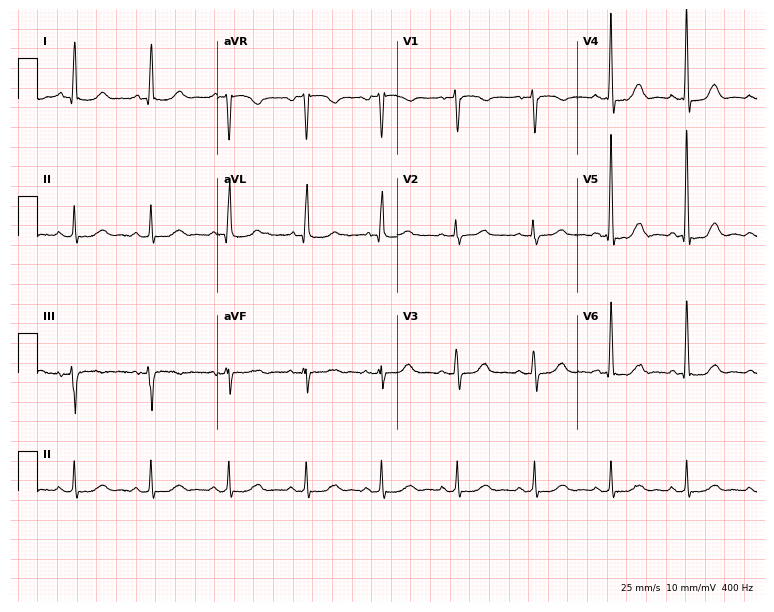
Resting 12-lead electrocardiogram. Patient: a 72-year-old woman. None of these six findings is recorded: first-degree AV block, right bundle branch block, left bundle branch block, sinus bradycardia, atrial fibrillation, sinus tachycardia.